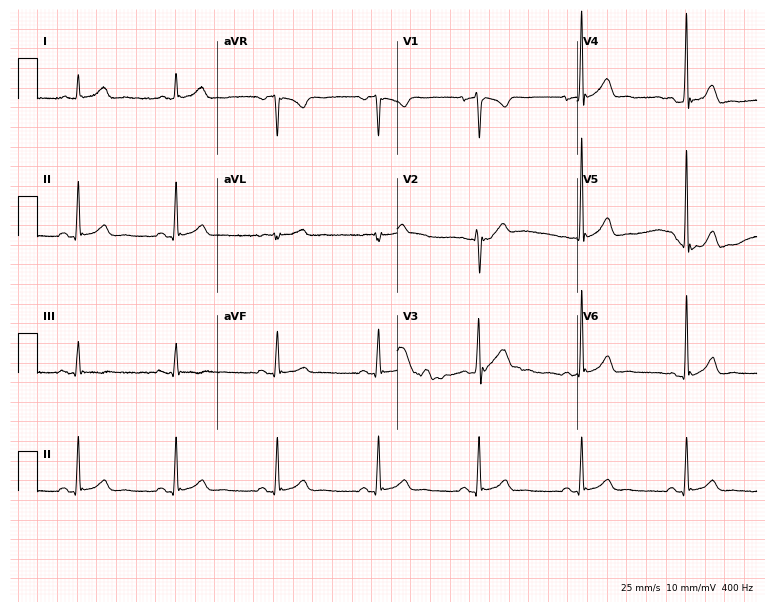
12-lead ECG from a 46-year-old male patient (7.3-second recording at 400 Hz). No first-degree AV block, right bundle branch block, left bundle branch block, sinus bradycardia, atrial fibrillation or sinus tachycardia recorded for this tracing.